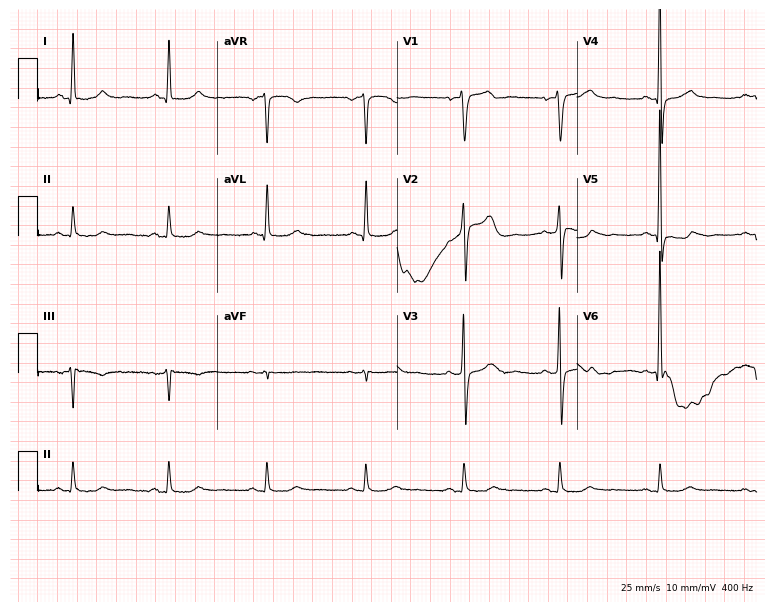
Electrocardiogram (7.3-second recording at 400 Hz), a male patient, 69 years old. Overall reading on record: normal ECG.